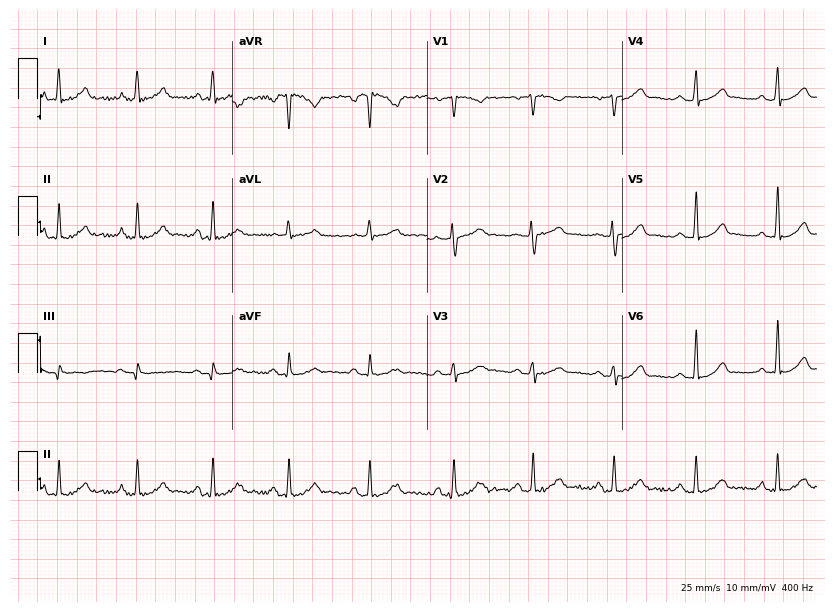
Electrocardiogram, a female, 34 years old. Overall reading on record: normal ECG.